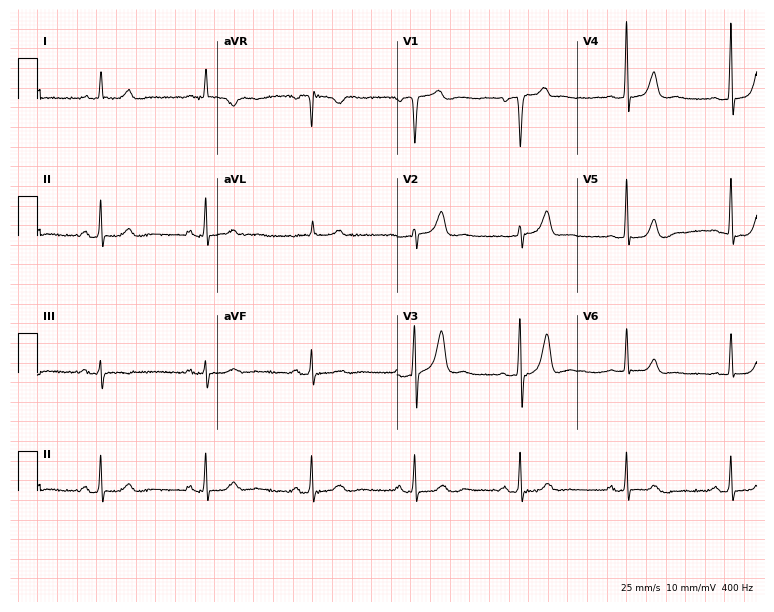
Electrocardiogram (7.3-second recording at 400 Hz), a male patient, 69 years old. Overall reading on record: normal ECG.